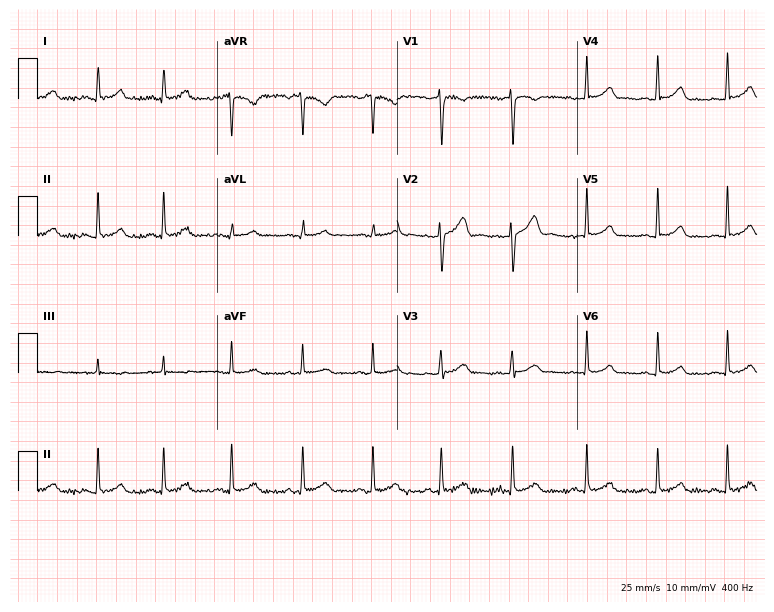
Electrocardiogram (7.3-second recording at 400 Hz), a female patient, 31 years old. Overall reading on record: normal ECG.